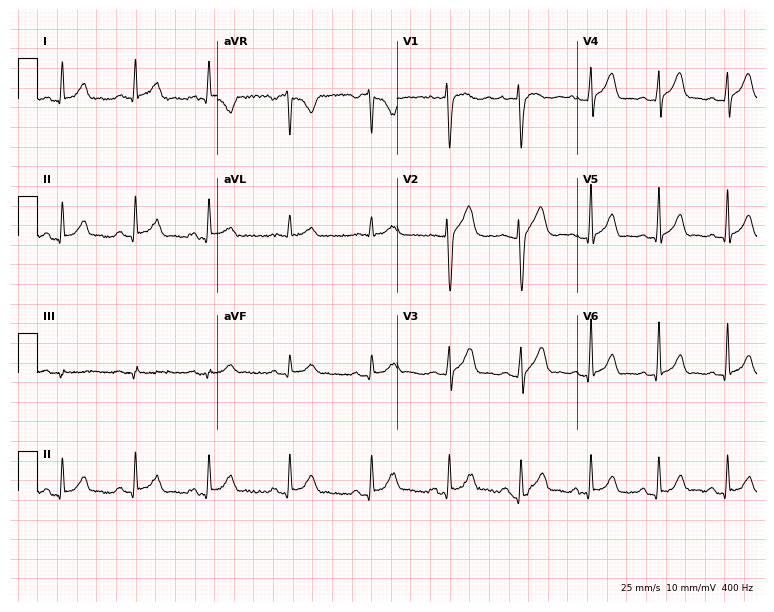
12-lead ECG from a 35-year-old male (7.3-second recording at 400 Hz). No first-degree AV block, right bundle branch block, left bundle branch block, sinus bradycardia, atrial fibrillation or sinus tachycardia recorded for this tracing. Other findings, if any, are not listed.